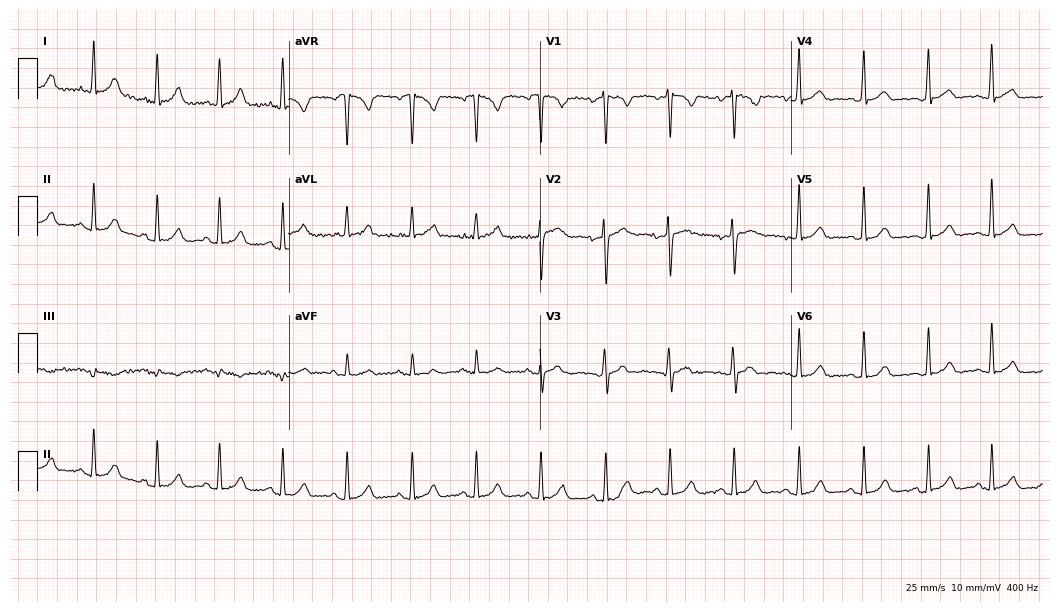
12-lead ECG from a female, 25 years old. Screened for six findings — first-degree AV block, right bundle branch block, left bundle branch block, sinus bradycardia, atrial fibrillation, sinus tachycardia — none is recorded. Only these six findings were labelled.